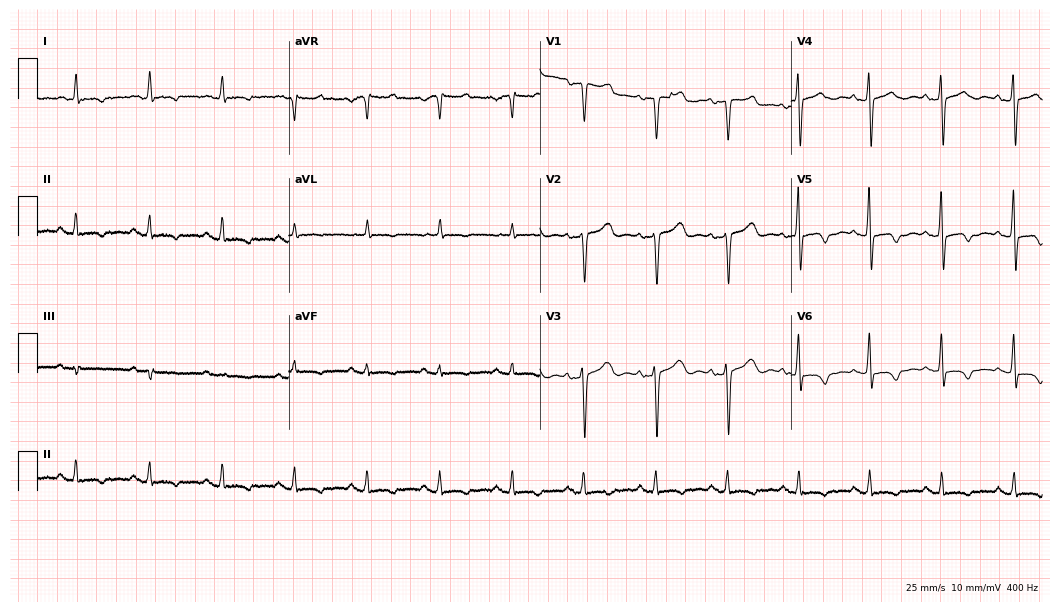
Resting 12-lead electrocardiogram. Patient: an 81-year-old man. None of these six findings is recorded: first-degree AV block, right bundle branch block, left bundle branch block, sinus bradycardia, atrial fibrillation, sinus tachycardia.